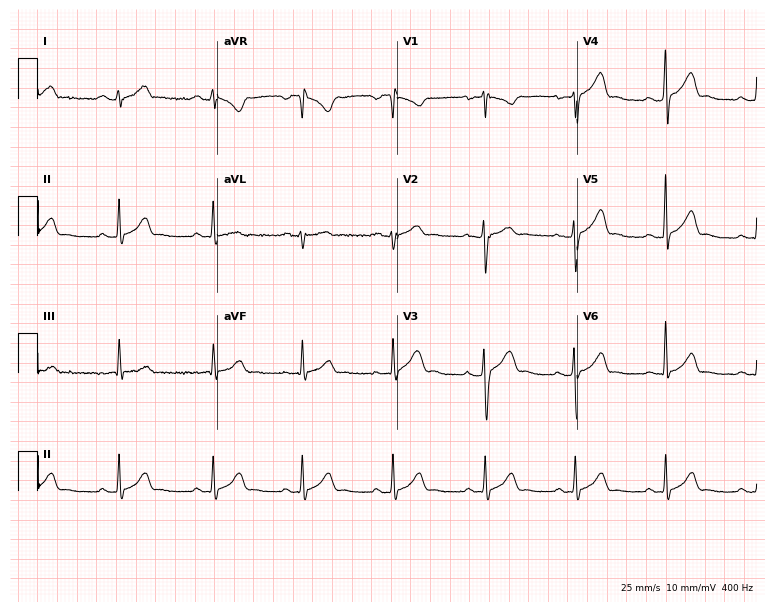
ECG — a 24-year-old male patient. Labelled as a normal ECG.